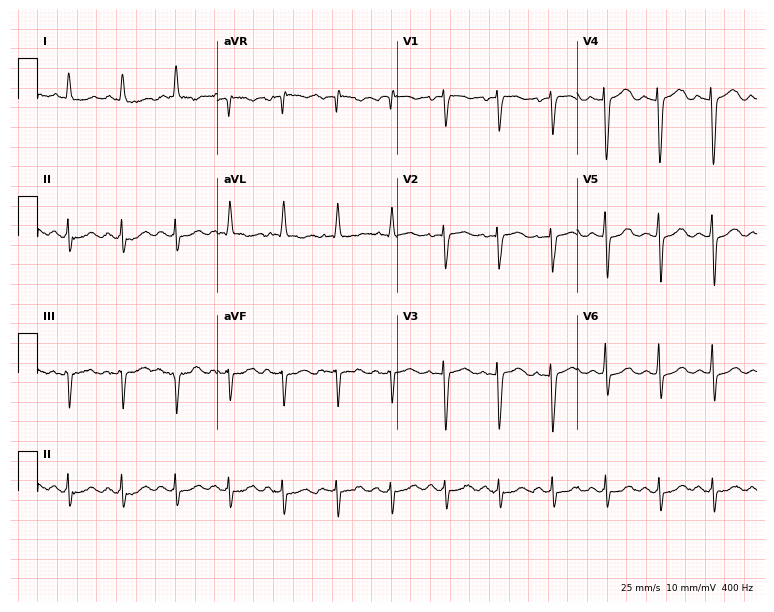
ECG — an 80-year-old woman. Findings include sinus tachycardia (a sinus rate of 100 beats per minute or more).